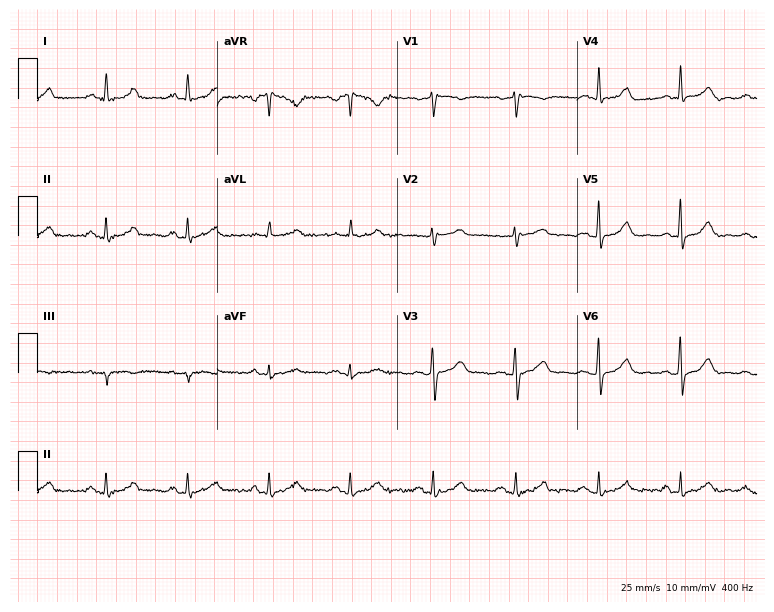
12-lead ECG from a 44-year-old woman (7.3-second recording at 400 Hz). Recorded interpretation: within normal limits.